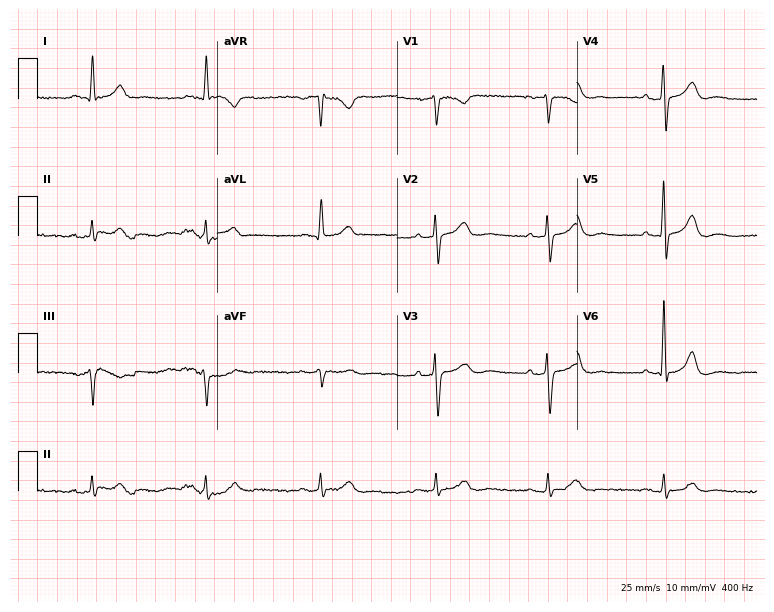
Electrocardiogram (7.3-second recording at 400 Hz), a male, 70 years old. Of the six screened findings (first-degree AV block, right bundle branch block, left bundle branch block, sinus bradycardia, atrial fibrillation, sinus tachycardia), none is recorded.